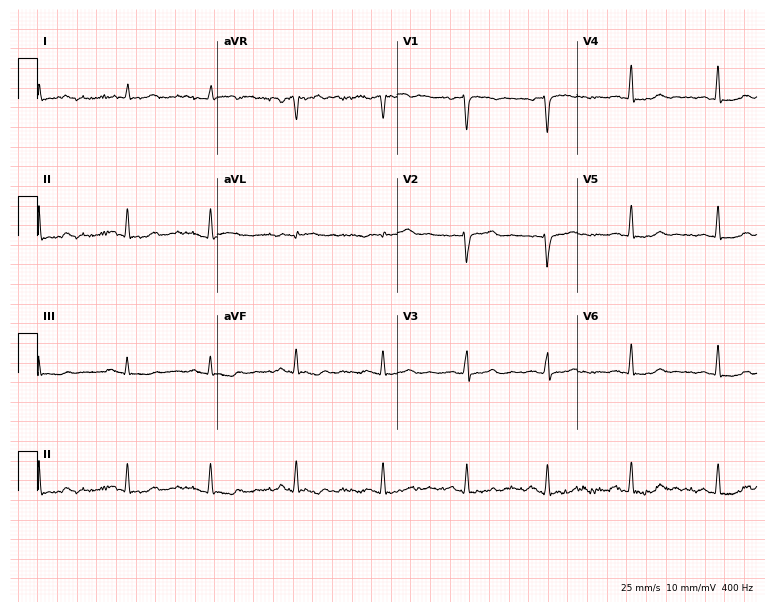
Electrocardiogram (7.3-second recording at 400 Hz), a female patient, 45 years old. Of the six screened findings (first-degree AV block, right bundle branch block, left bundle branch block, sinus bradycardia, atrial fibrillation, sinus tachycardia), none is recorded. Other findings, if any, are not listed.